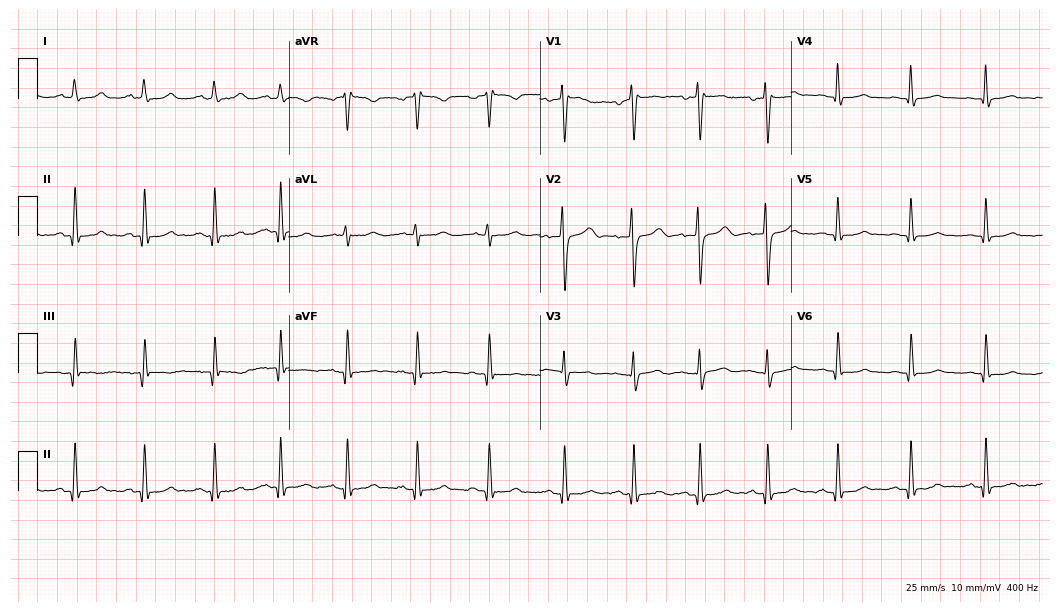
Electrocardiogram (10.2-second recording at 400 Hz), a female patient, 25 years old. Overall reading on record: normal ECG.